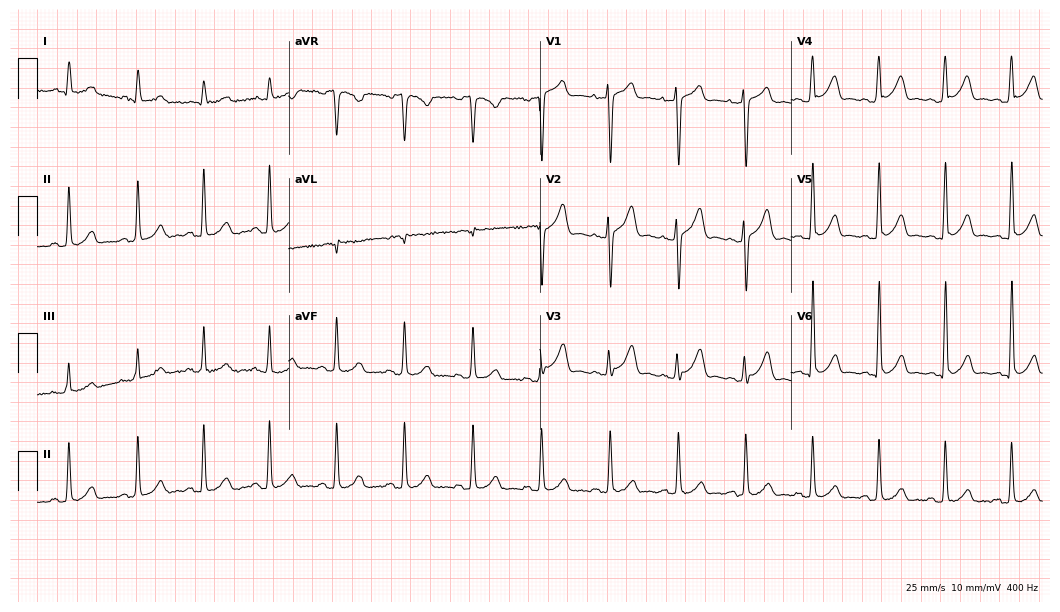
12-lead ECG from a man, 30 years old. No first-degree AV block, right bundle branch block (RBBB), left bundle branch block (LBBB), sinus bradycardia, atrial fibrillation (AF) or sinus tachycardia recorded for this tracing. Findings outside these six are not listed.